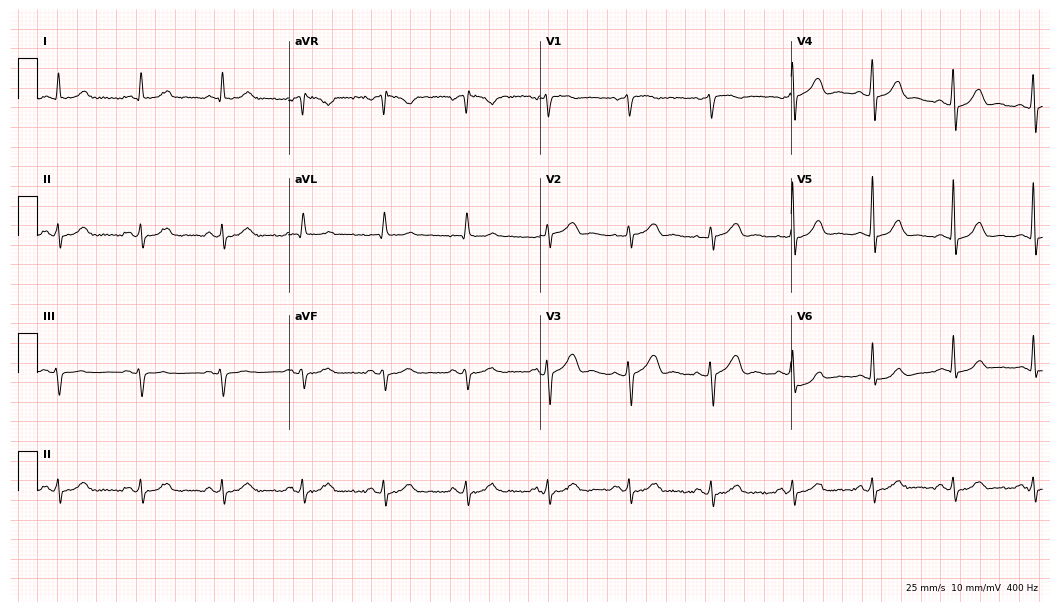
Standard 12-lead ECG recorded from a 63-year-old male patient (10.2-second recording at 400 Hz). Read as a normal ECG.